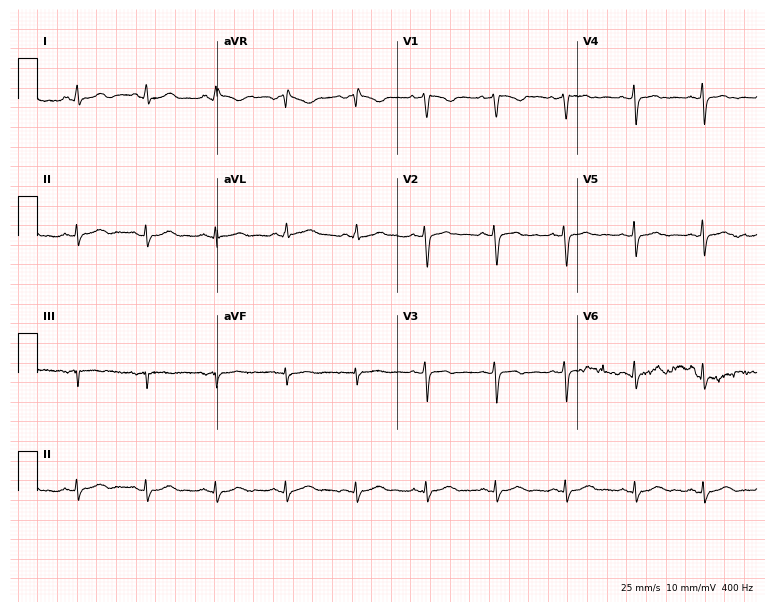
12-lead ECG from a female, 38 years old. Recorded interpretation: within normal limits.